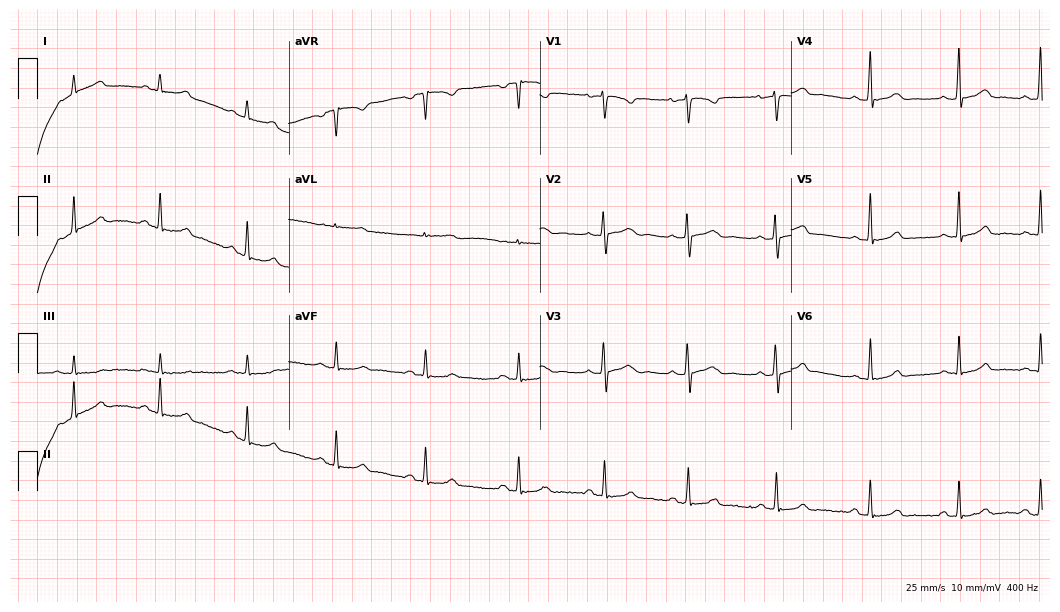
Electrocardiogram (10.2-second recording at 400 Hz), a woman, 20 years old. Of the six screened findings (first-degree AV block, right bundle branch block, left bundle branch block, sinus bradycardia, atrial fibrillation, sinus tachycardia), none is recorded. Findings outside these six are not listed.